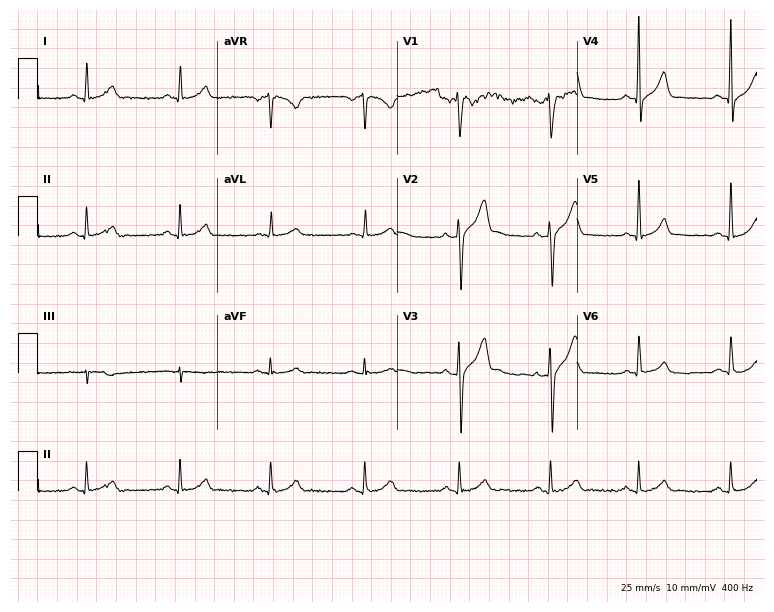
Standard 12-lead ECG recorded from a 26-year-old male (7.3-second recording at 400 Hz). Read as a normal ECG.